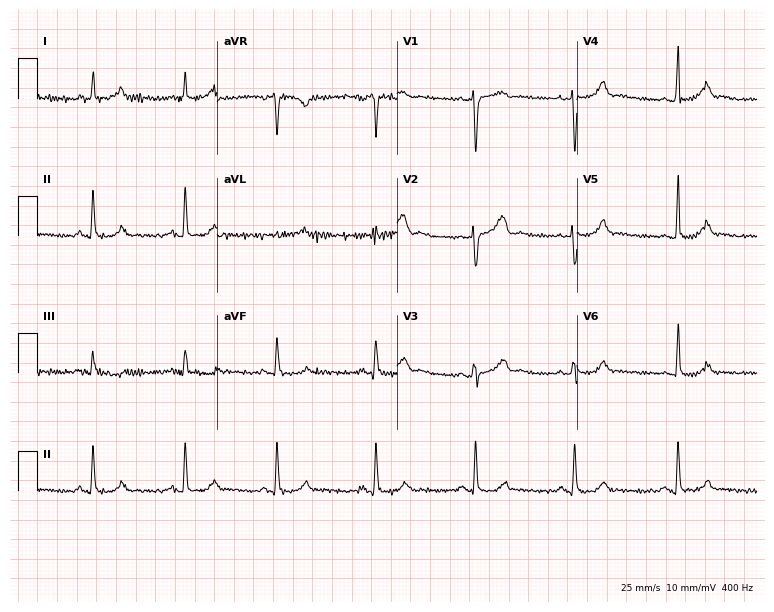
Standard 12-lead ECG recorded from a woman, 44 years old. Read as a normal ECG.